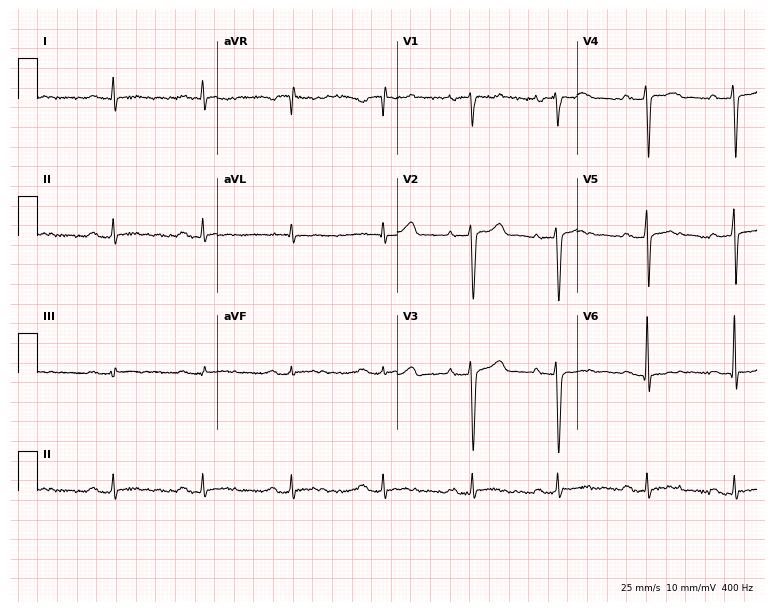
12-lead ECG from a male, 51 years old. No first-degree AV block, right bundle branch block, left bundle branch block, sinus bradycardia, atrial fibrillation or sinus tachycardia recorded for this tracing.